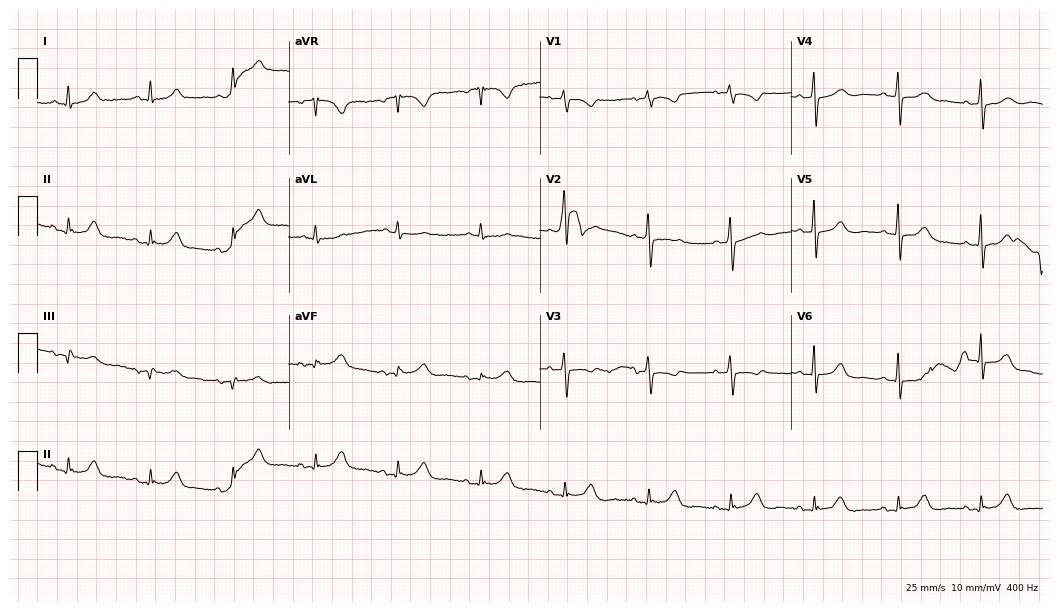
ECG (10.2-second recording at 400 Hz) — a 71-year-old female patient. Labelled as a normal ECG.